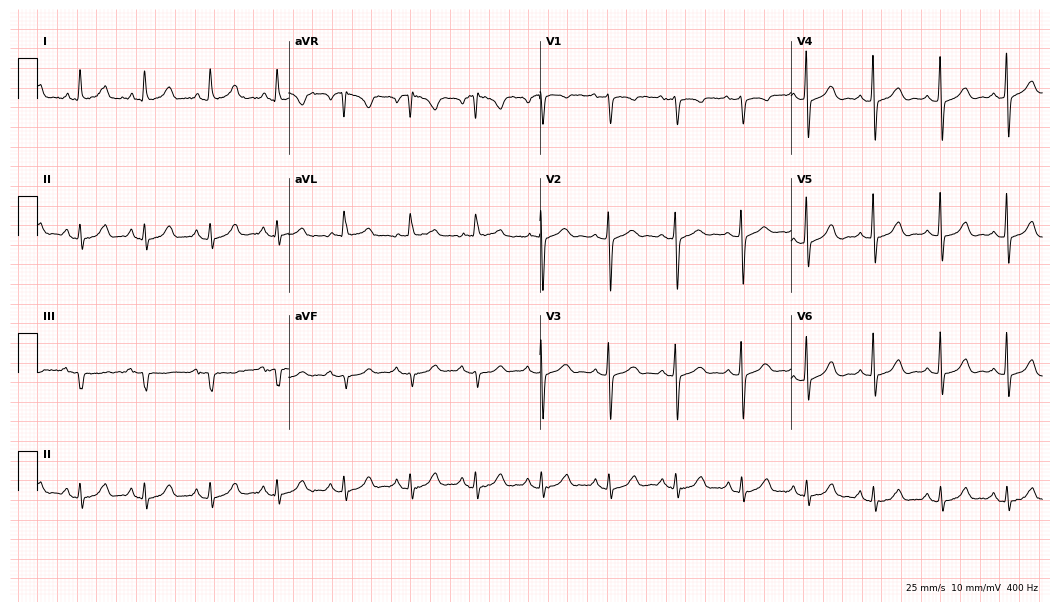
Resting 12-lead electrocardiogram. Patient: a 79-year-old woman. Read as a normal ECG.